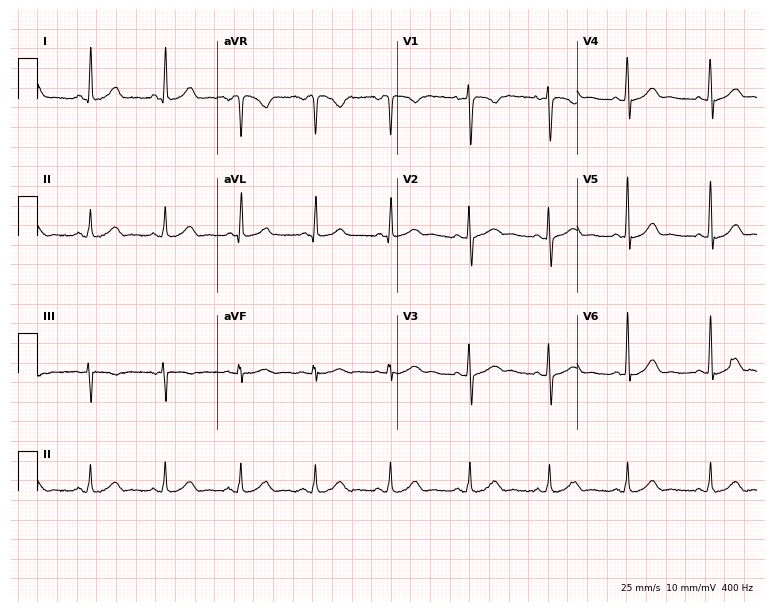
Electrocardiogram (7.3-second recording at 400 Hz), a 48-year-old female. Of the six screened findings (first-degree AV block, right bundle branch block, left bundle branch block, sinus bradycardia, atrial fibrillation, sinus tachycardia), none is recorded.